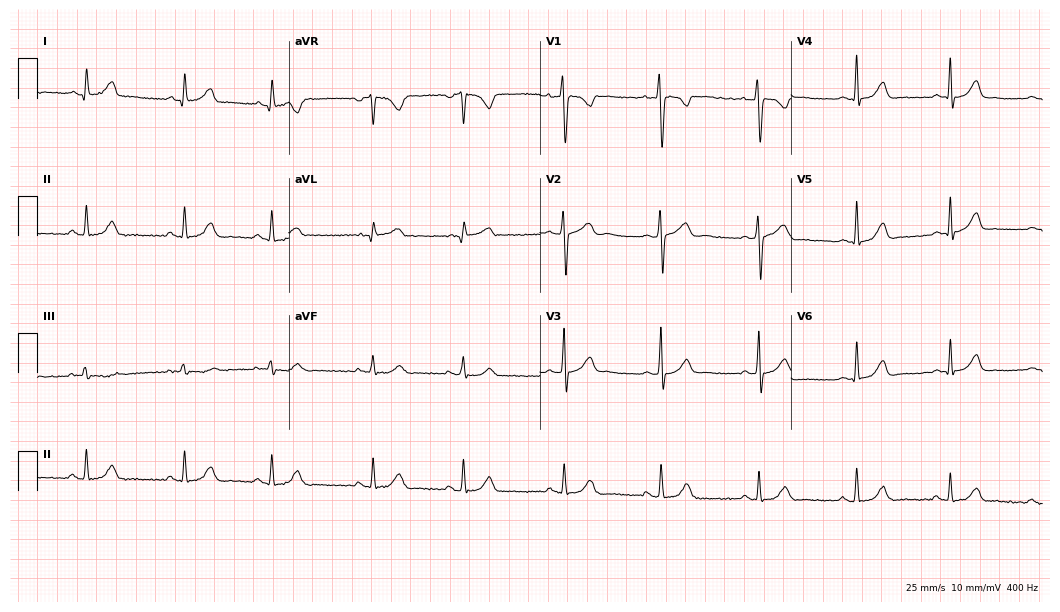
ECG (10.2-second recording at 400 Hz) — a 25-year-old female patient. Screened for six findings — first-degree AV block, right bundle branch block, left bundle branch block, sinus bradycardia, atrial fibrillation, sinus tachycardia — none is recorded. Only these six findings were labelled.